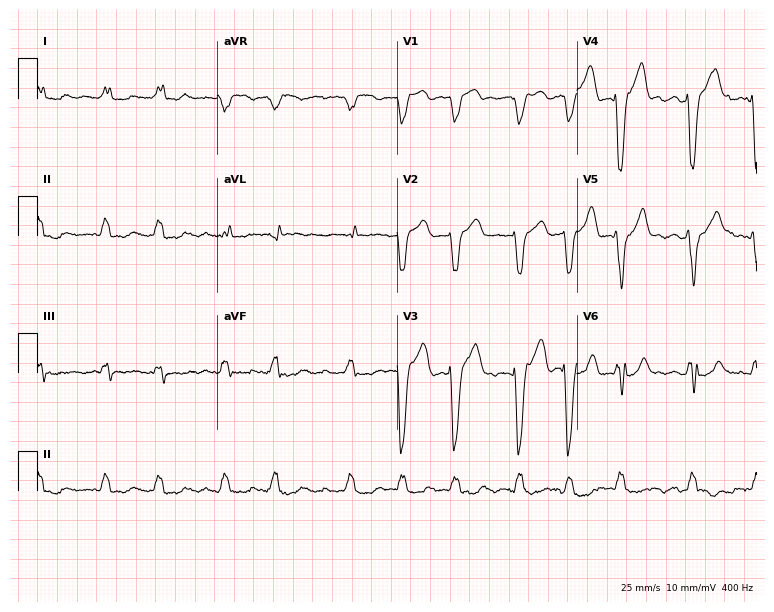
12-lead ECG from an 87-year-old man (7.3-second recording at 400 Hz). Shows left bundle branch block (LBBB), atrial fibrillation (AF), sinus tachycardia (a sinus rate of 100 beats per minute or more).